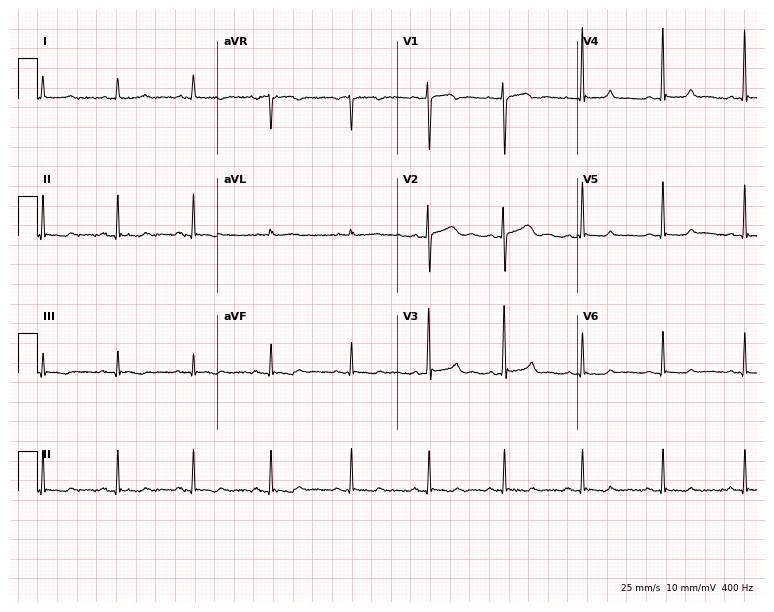
Electrocardiogram, a 29-year-old female patient. Overall reading on record: normal ECG.